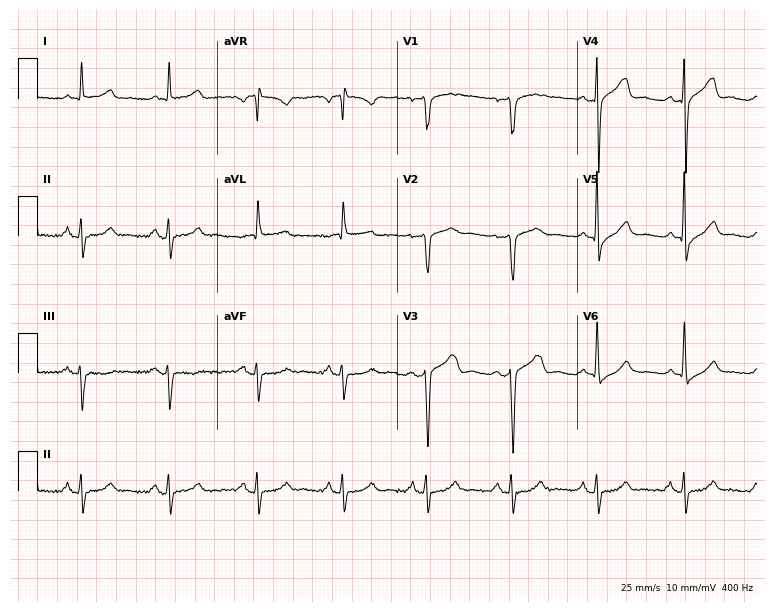
Resting 12-lead electrocardiogram (7.3-second recording at 400 Hz). Patient: a woman, 63 years old. None of these six findings is recorded: first-degree AV block, right bundle branch block, left bundle branch block, sinus bradycardia, atrial fibrillation, sinus tachycardia. Other findings, if any, are not listed.